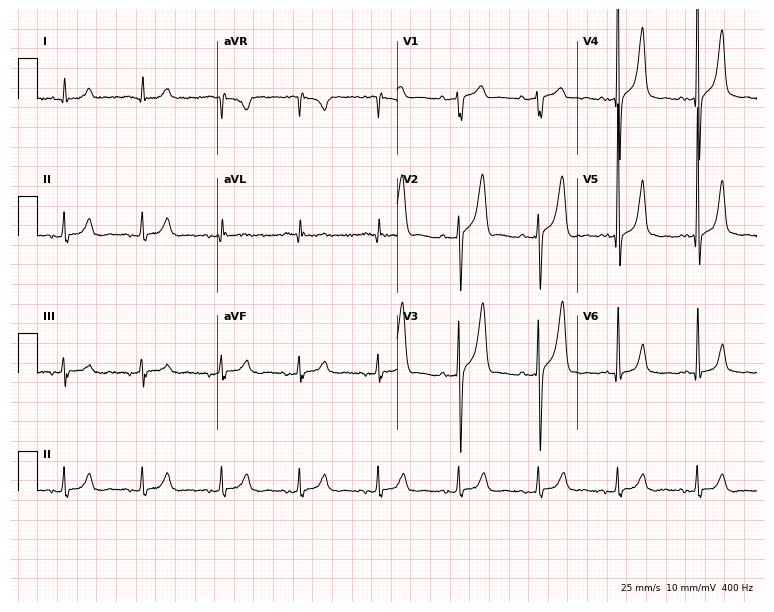
ECG (7.3-second recording at 400 Hz) — a 70-year-old male. Screened for six findings — first-degree AV block, right bundle branch block, left bundle branch block, sinus bradycardia, atrial fibrillation, sinus tachycardia — none is recorded. Only these six findings were labelled.